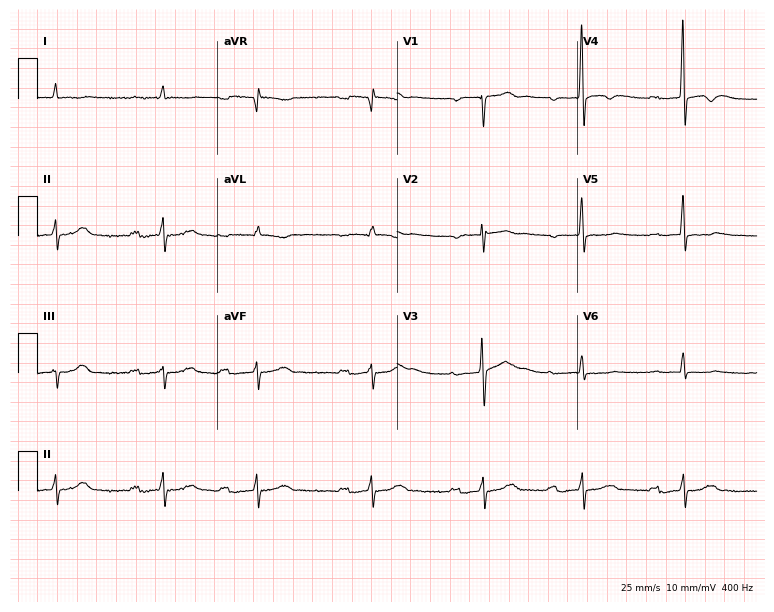
ECG (7.3-second recording at 400 Hz) — a male, 83 years old. Findings include first-degree AV block.